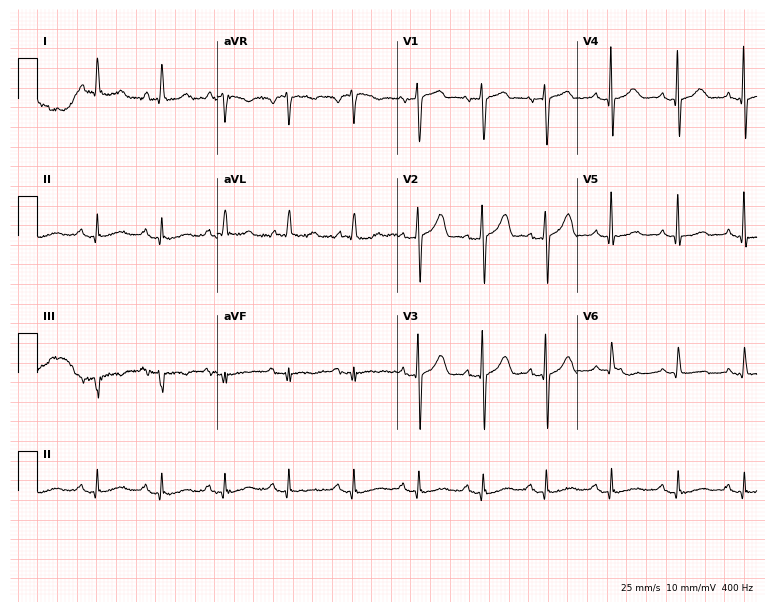
12-lead ECG from an 85-year-old female. No first-degree AV block, right bundle branch block, left bundle branch block, sinus bradycardia, atrial fibrillation or sinus tachycardia recorded for this tracing. Findings outside these six are not listed.